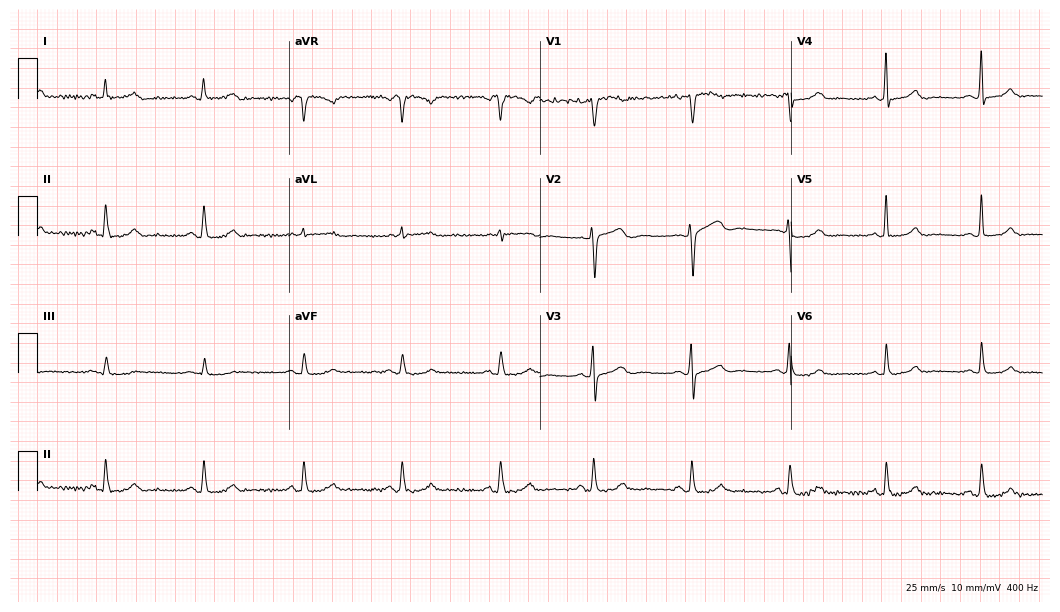
Resting 12-lead electrocardiogram. Patient: a 63-year-old woman. Read as a normal ECG.